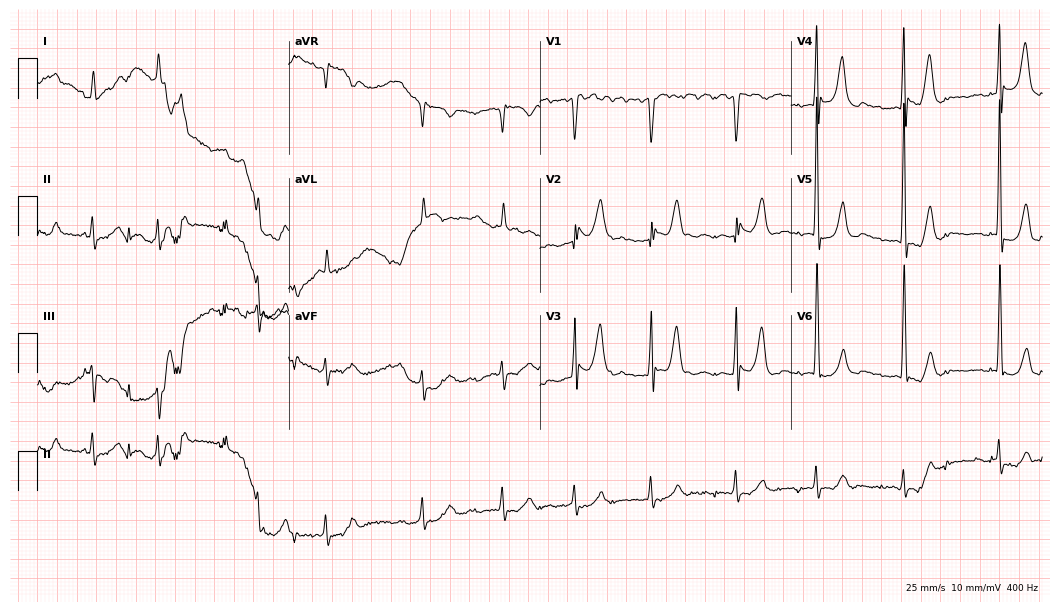
12-lead ECG (10.2-second recording at 400 Hz) from a 73-year-old man. Screened for six findings — first-degree AV block, right bundle branch block, left bundle branch block, sinus bradycardia, atrial fibrillation, sinus tachycardia — none is recorded.